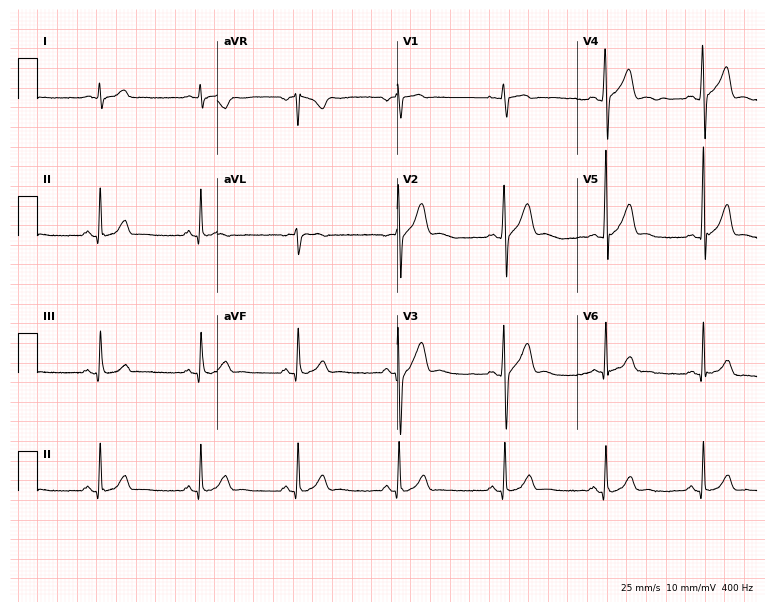
Resting 12-lead electrocardiogram (7.3-second recording at 400 Hz). Patient: a 27-year-old male. None of these six findings is recorded: first-degree AV block, right bundle branch block (RBBB), left bundle branch block (LBBB), sinus bradycardia, atrial fibrillation (AF), sinus tachycardia. Findings outside these six are not listed.